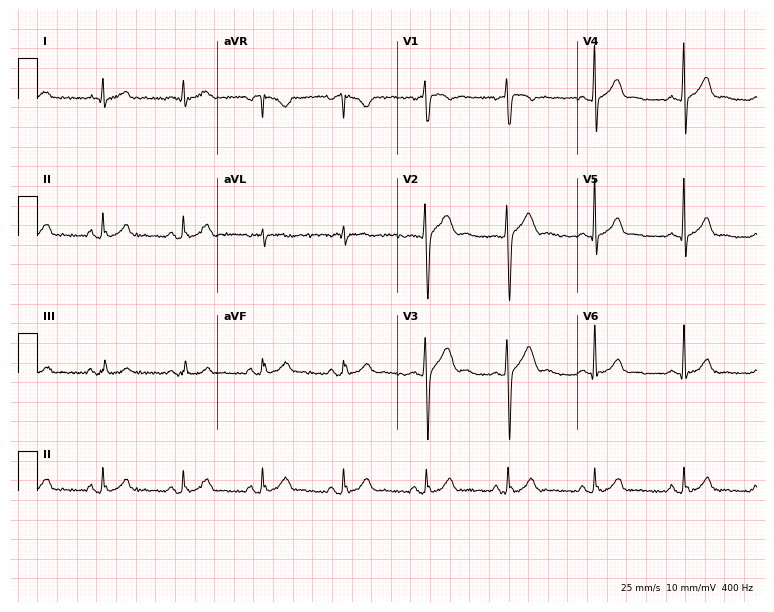
Standard 12-lead ECG recorded from a 27-year-old man (7.3-second recording at 400 Hz). Read as a normal ECG.